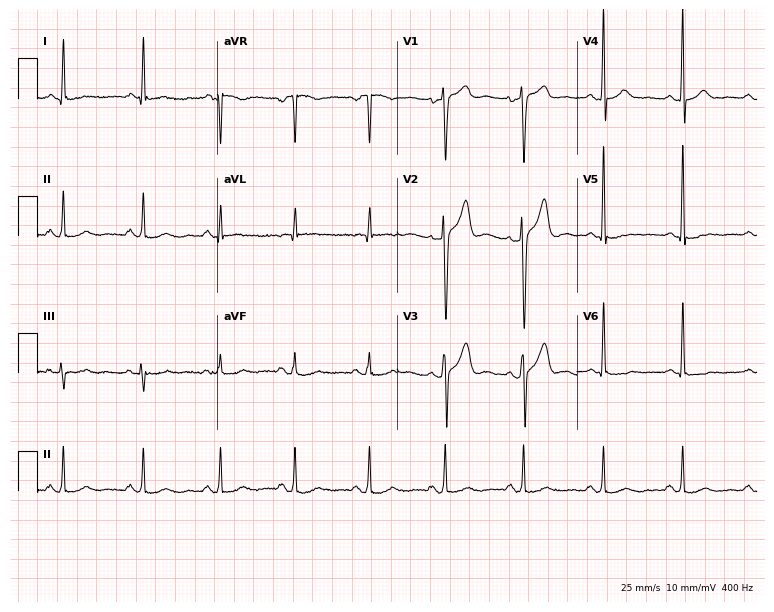
12-lead ECG from a male, 40 years old. No first-degree AV block, right bundle branch block (RBBB), left bundle branch block (LBBB), sinus bradycardia, atrial fibrillation (AF) or sinus tachycardia recorded for this tracing.